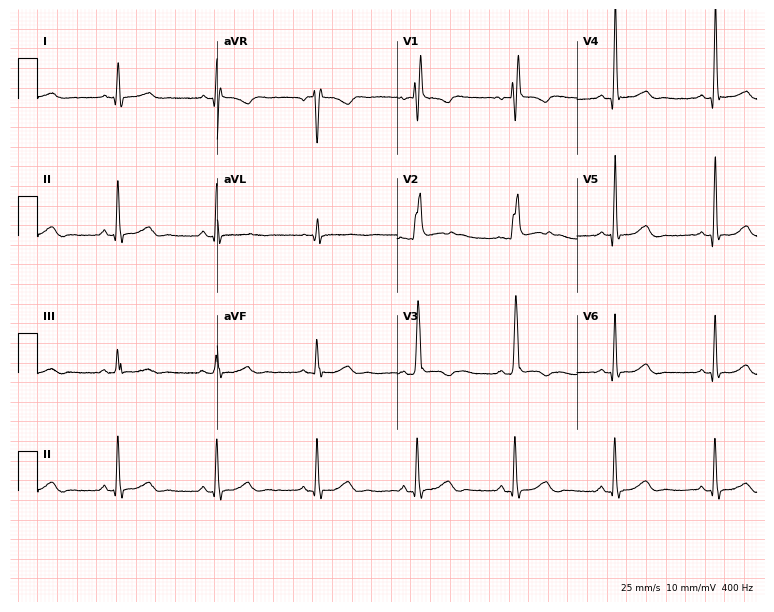
12-lead ECG from a woman, 59 years old (7.3-second recording at 400 Hz). No first-degree AV block, right bundle branch block, left bundle branch block, sinus bradycardia, atrial fibrillation or sinus tachycardia recorded for this tracing. Only these six findings were labelled.